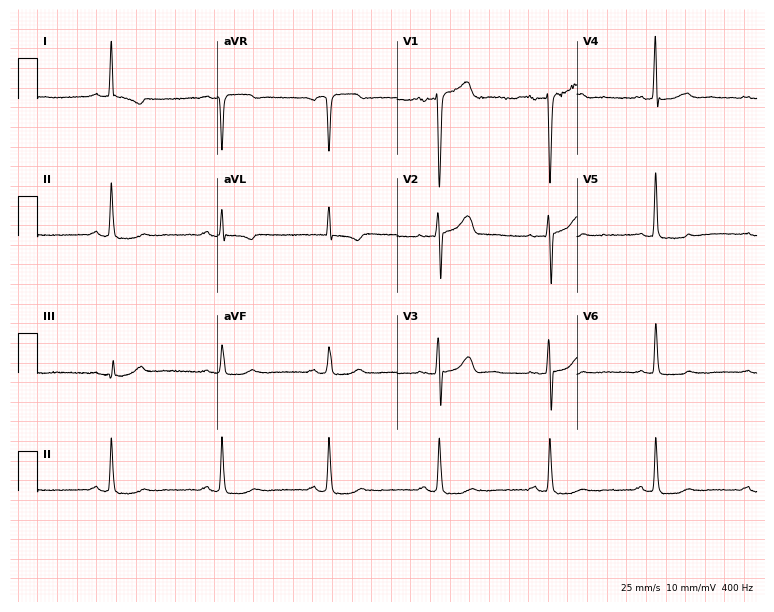
12-lead ECG from a male, 58 years old. Screened for six findings — first-degree AV block, right bundle branch block, left bundle branch block, sinus bradycardia, atrial fibrillation, sinus tachycardia — none is recorded.